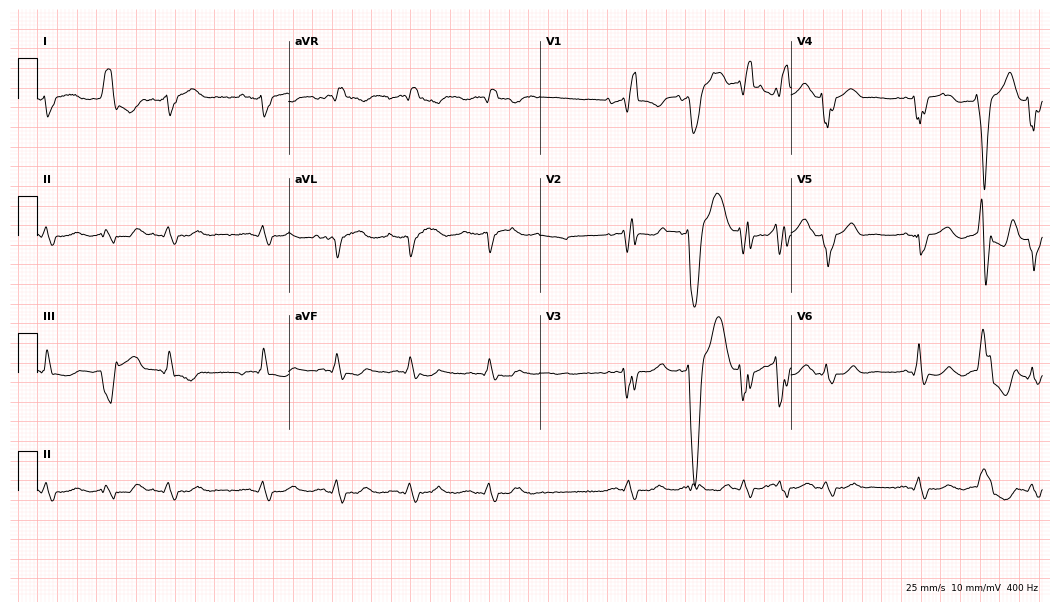
12-lead ECG from an 80-year-old male. Findings include right bundle branch block.